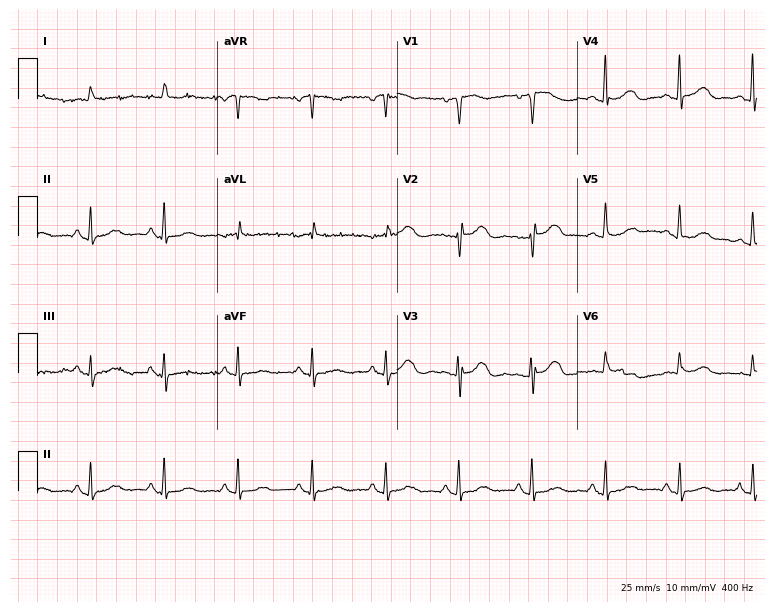
Standard 12-lead ECG recorded from a 73-year-old woman. Read as a normal ECG.